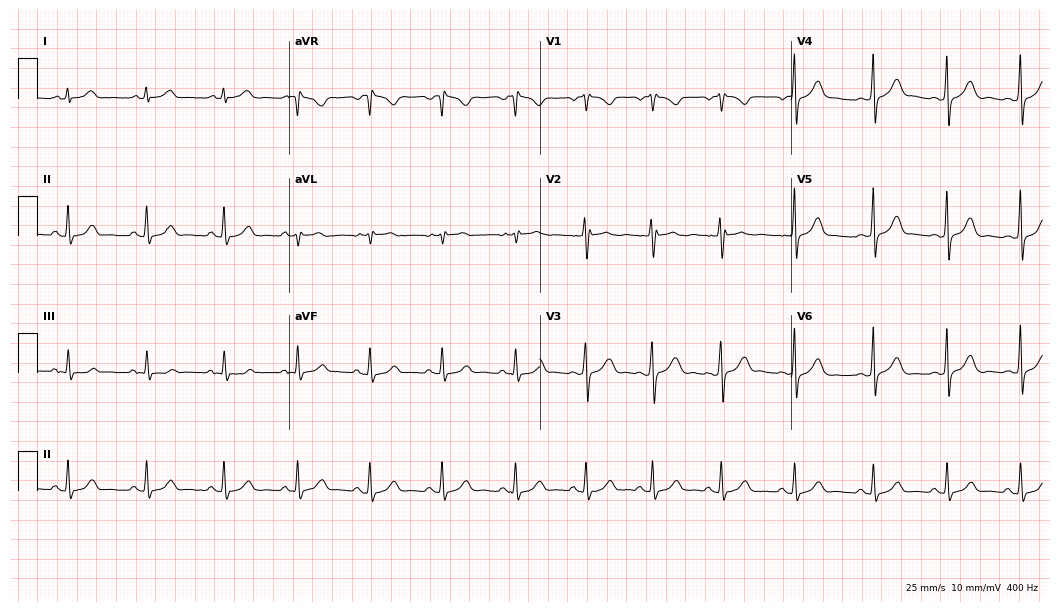
12-lead ECG (10.2-second recording at 400 Hz) from a 26-year-old female patient. Labelled as a normal ECG.